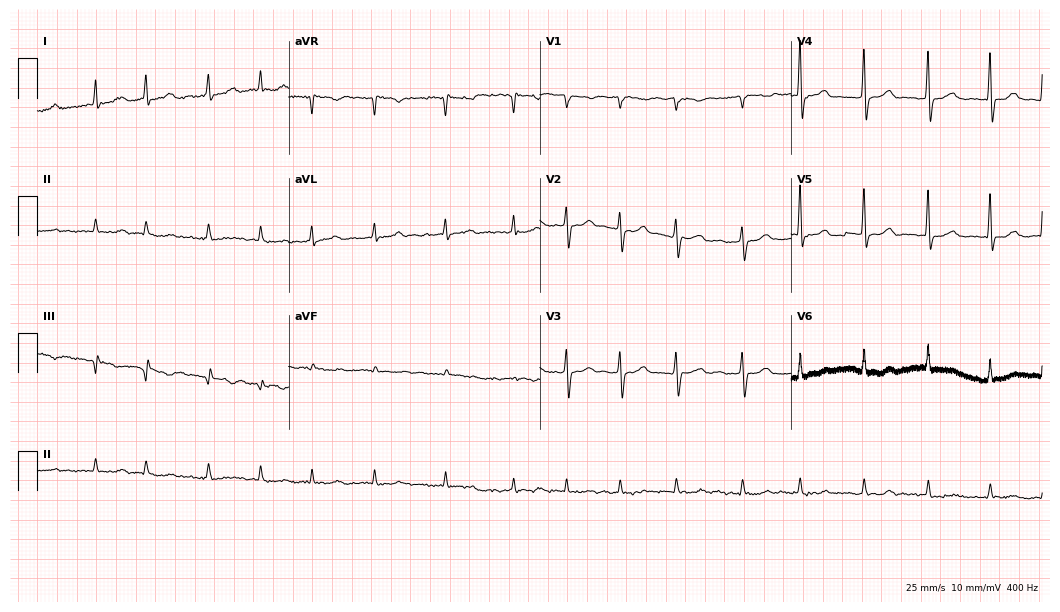
ECG (10.2-second recording at 400 Hz) — a male patient, 71 years old. Findings include atrial fibrillation (AF).